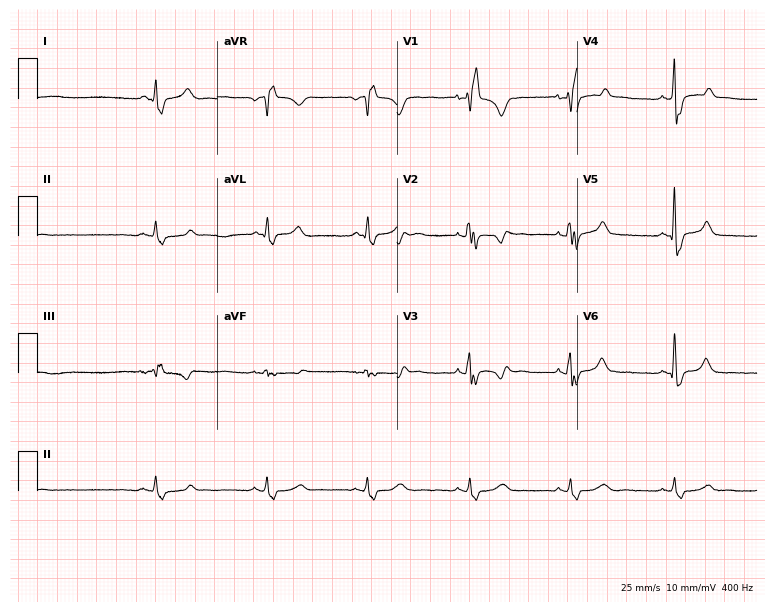
Resting 12-lead electrocardiogram (7.3-second recording at 400 Hz). Patient: a female, 50 years old. The tracing shows right bundle branch block.